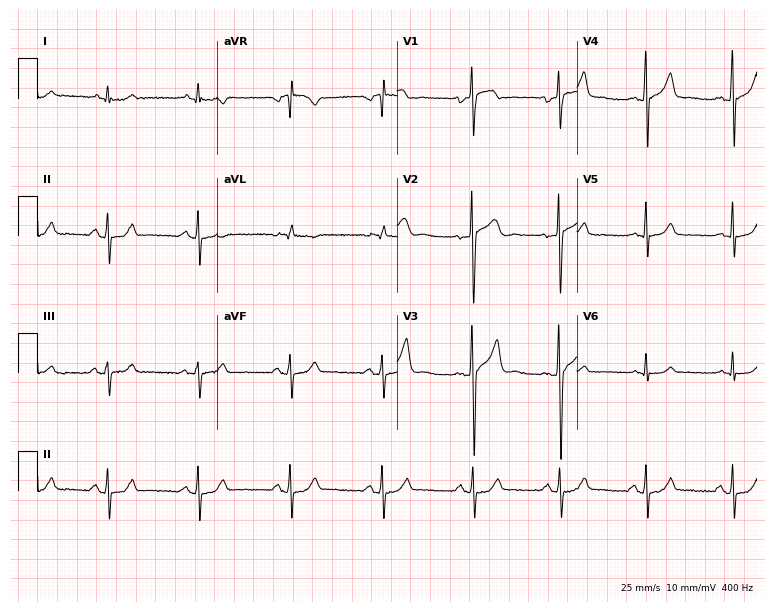
Standard 12-lead ECG recorded from a 46-year-old man (7.3-second recording at 400 Hz). Read as a normal ECG.